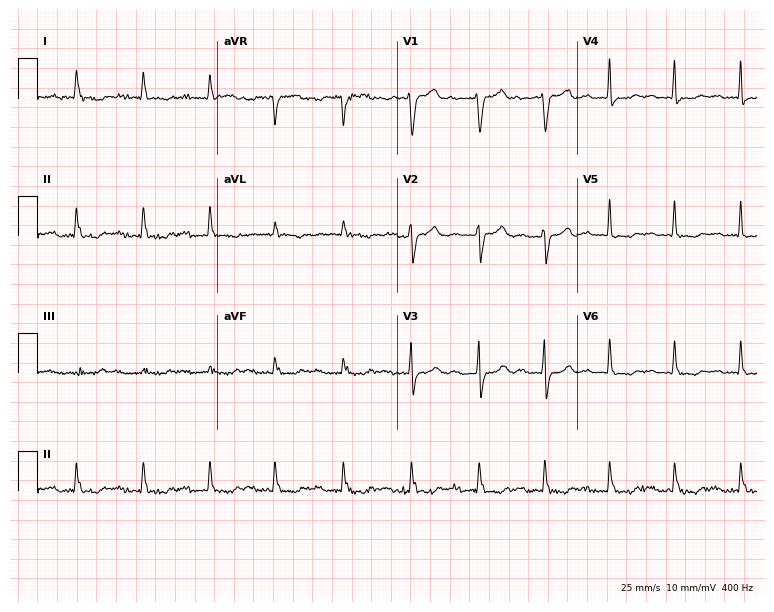
Standard 12-lead ECG recorded from a woman, 82 years old (7.3-second recording at 400 Hz). None of these six findings is recorded: first-degree AV block, right bundle branch block, left bundle branch block, sinus bradycardia, atrial fibrillation, sinus tachycardia. Other findings, if any, are not listed.